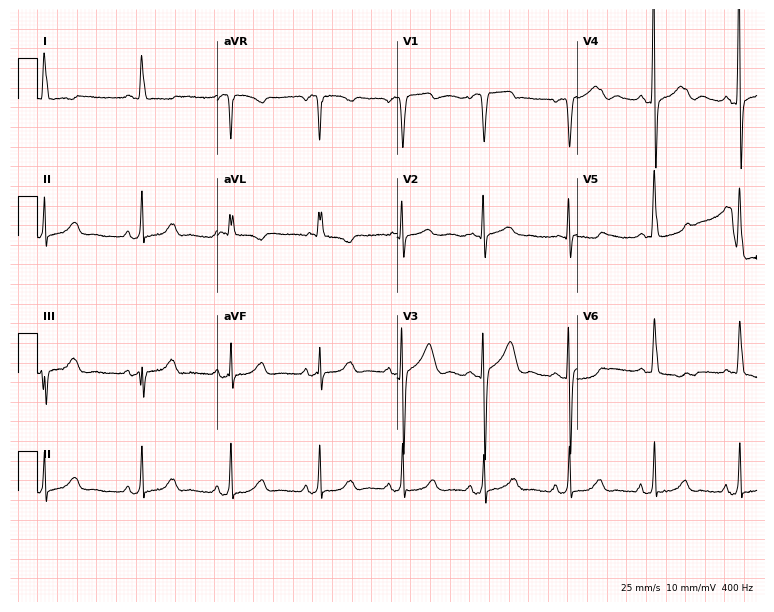
ECG — a 57-year-old female. Screened for six findings — first-degree AV block, right bundle branch block (RBBB), left bundle branch block (LBBB), sinus bradycardia, atrial fibrillation (AF), sinus tachycardia — none is recorded. Findings outside these six are not listed.